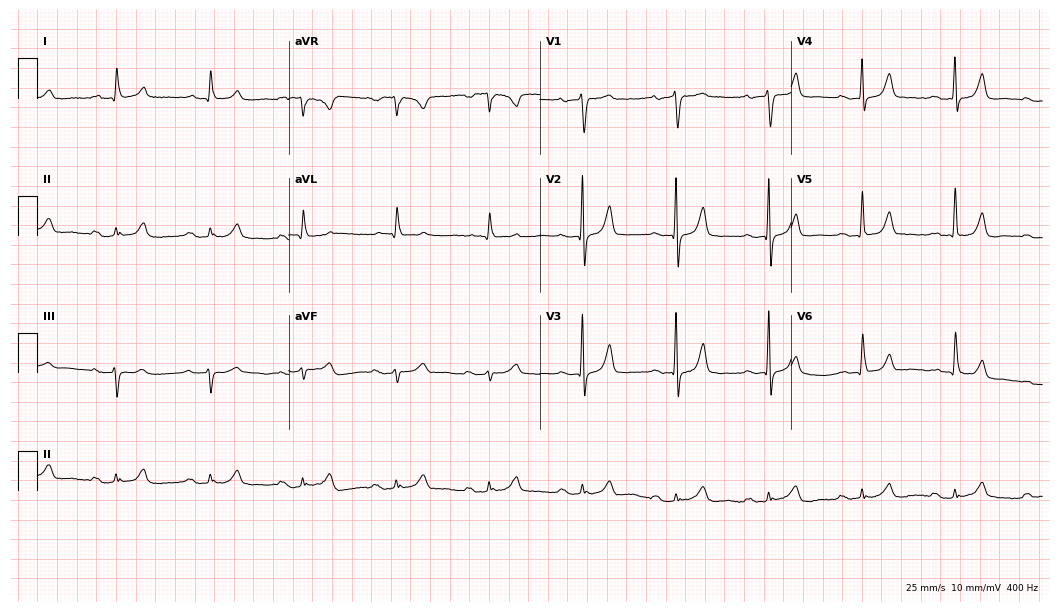
12-lead ECG (10.2-second recording at 400 Hz) from a male, 80 years old. Labelled as a normal ECG.